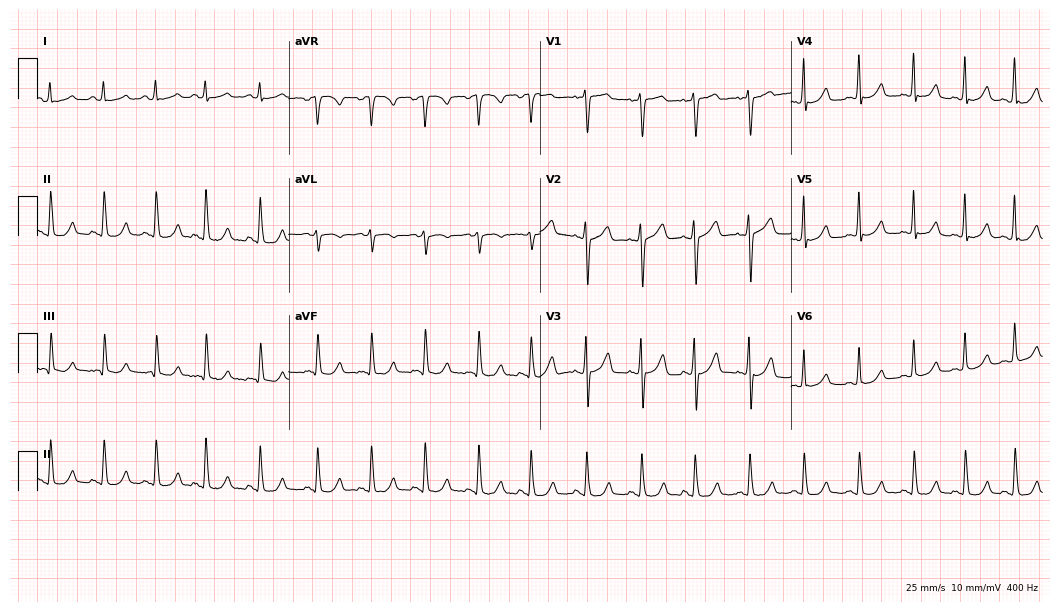
12-lead ECG (10.2-second recording at 400 Hz) from a woman, 77 years old. Findings include sinus tachycardia (a sinus rate of 100 beats per minute or more).